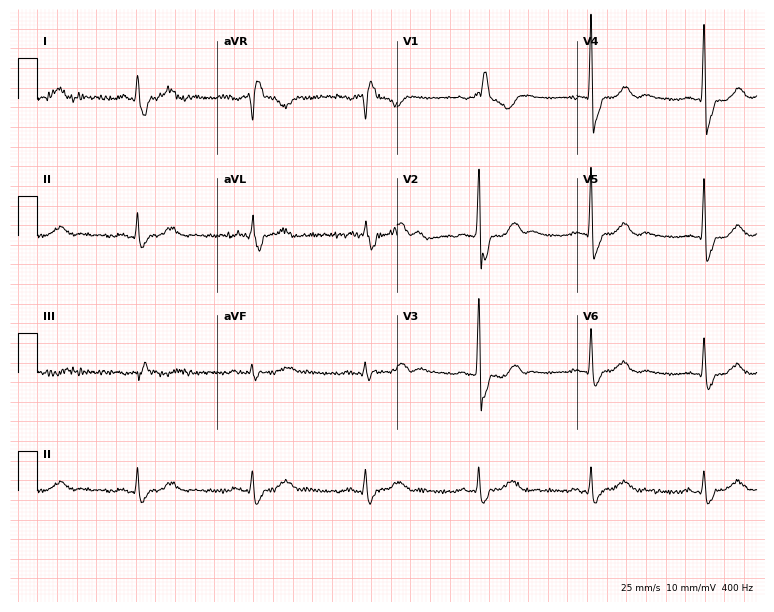
Standard 12-lead ECG recorded from a 61-year-old male patient. None of these six findings is recorded: first-degree AV block, right bundle branch block (RBBB), left bundle branch block (LBBB), sinus bradycardia, atrial fibrillation (AF), sinus tachycardia. Only these six findings were labelled.